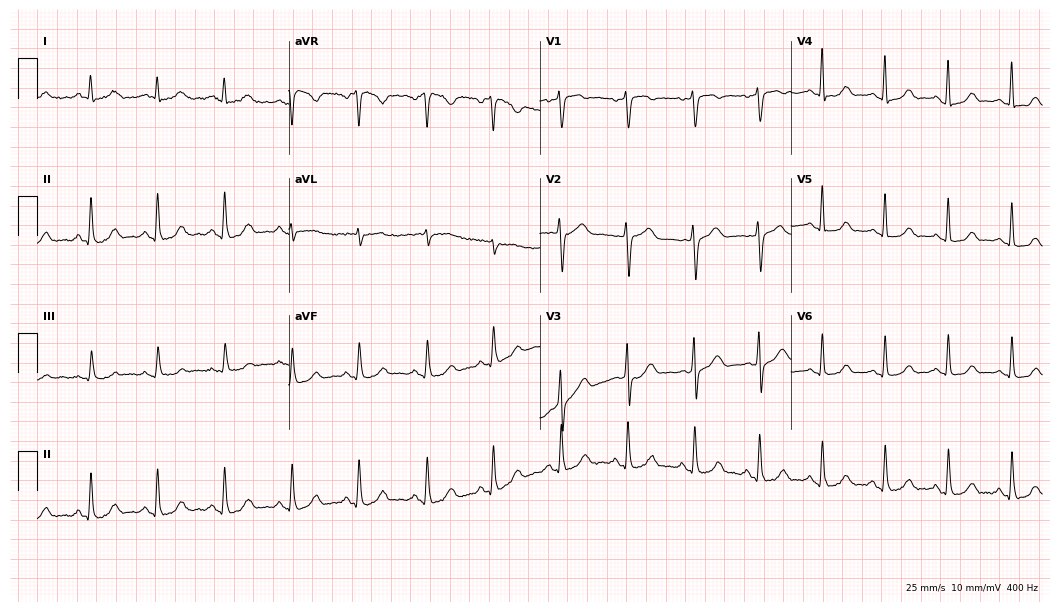
12-lead ECG (10.2-second recording at 400 Hz) from a 36-year-old female. Labelled as a normal ECG.